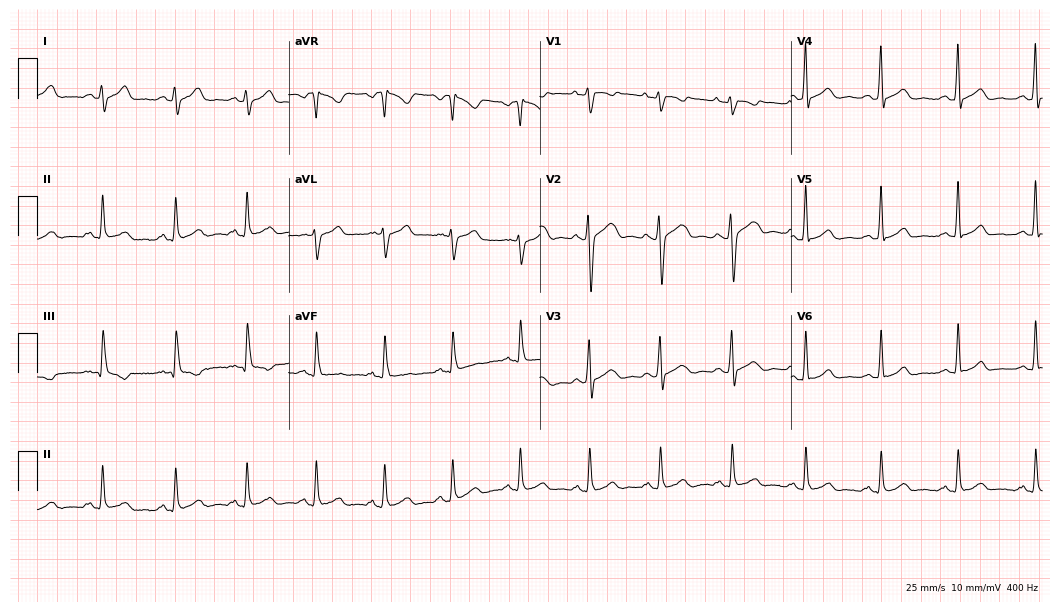
12-lead ECG from a 38-year-old male. Labelled as a normal ECG.